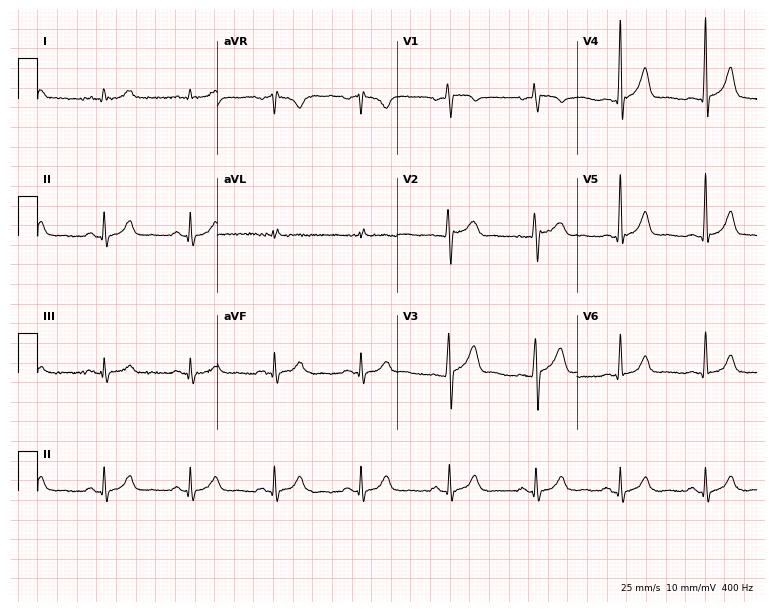
Electrocardiogram, a 44-year-old man. Of the six screened findings (first-degree AV block, right bundle branch block, left bundle branch block, sinus bradycardia, atrial fibrillation, sinus tachycardia), none is recorded.